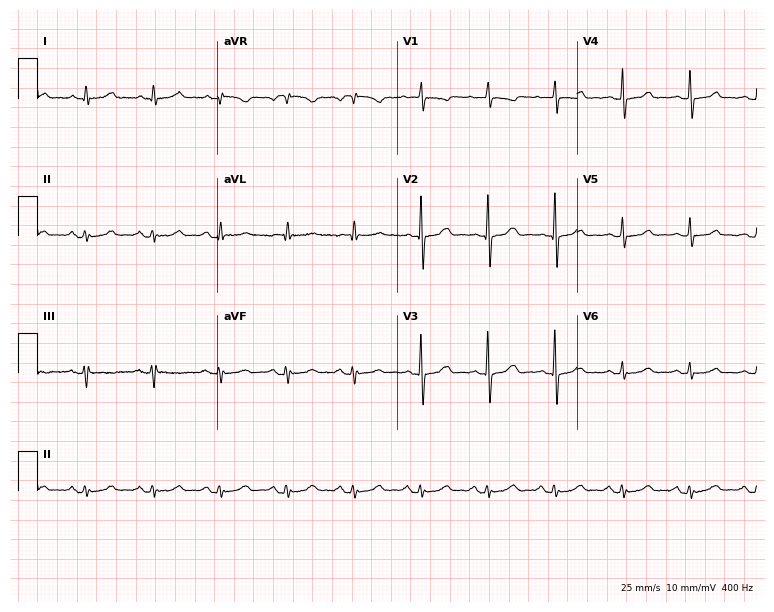
12-lead ECG from a 76-year-old woman (7.3-second recording at 400 Hz). Recorded interpretation: within normal limits.